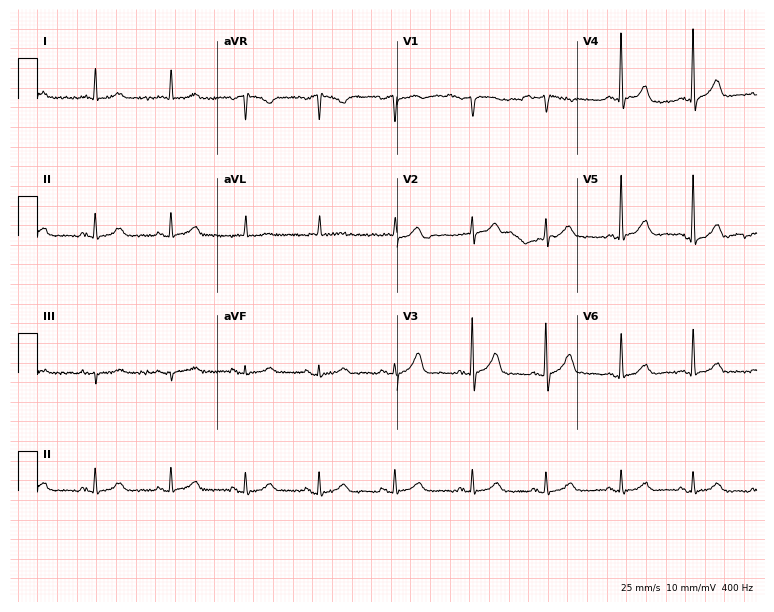
Standard 12-lead ECG recorded from a 73-year-old man (7.3-second recording at 400 Hz). Read as a normal ECG.